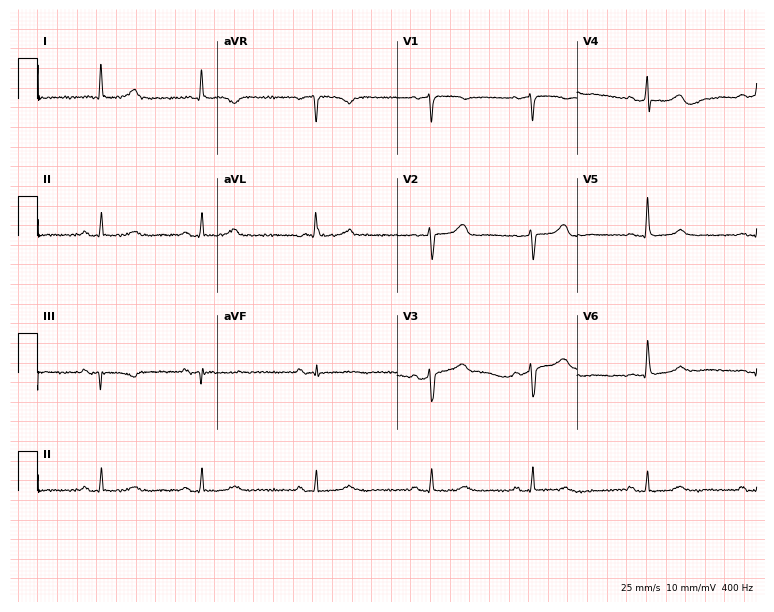
Standard 12-lead ECG recorded from a 78-year-old female. None of these six findings is recorded: first-degree AV block, right bundle branch block (RBBB), left bundle branch block (LBBB), sinus bradycardia, atrial fibrillation (AF), sinus tachycardia.